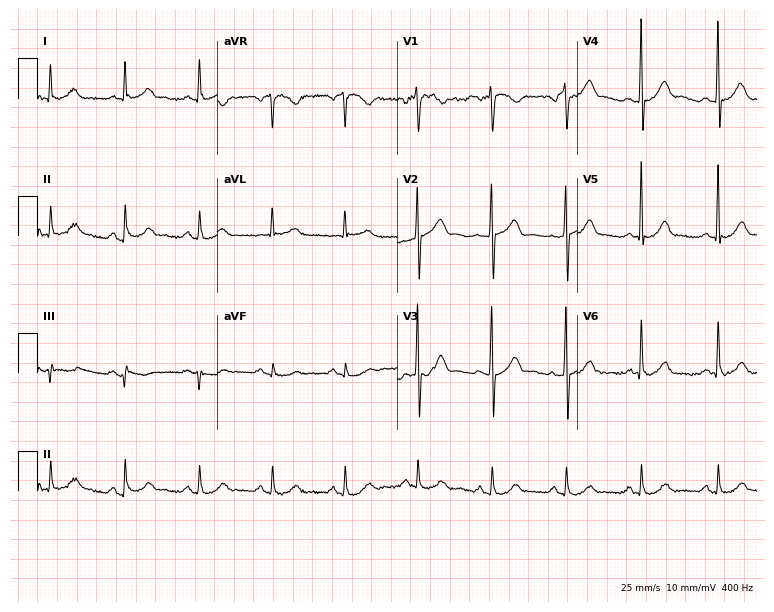
Standard 12-lead ECG recorded from a man, 47 years old (7.3-second recording at 400 Hz). None of these six findings is recorded: first-degree AV block, right bundle branch block (RBBB), left bundle branch block (LBBB), sinus bradycardia, atrial fibrillation (AF), sinus tachycardia. Other findings, if any, are not listed.